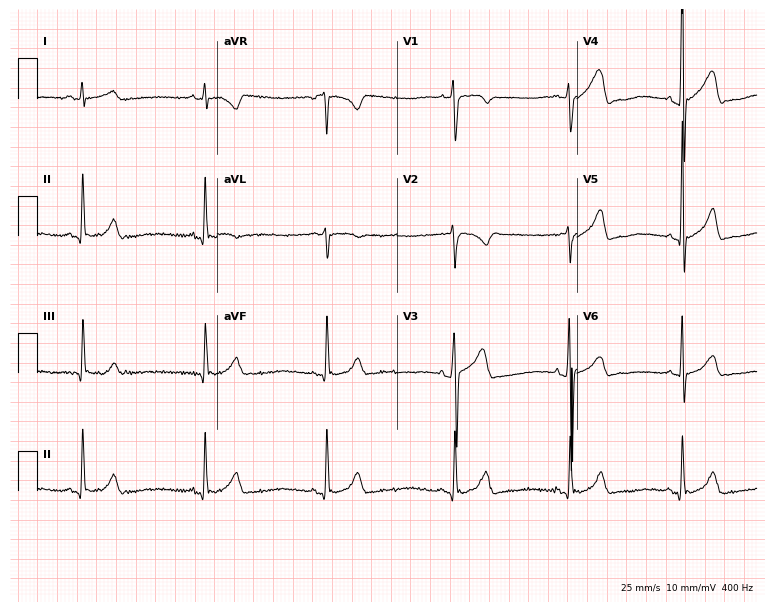
12-lead ECG (7.3-second recording at 400 Hz) from a 21-year-old male. Findings include sinus bradycardia (a sinus rate of 50 beats per minute or less).